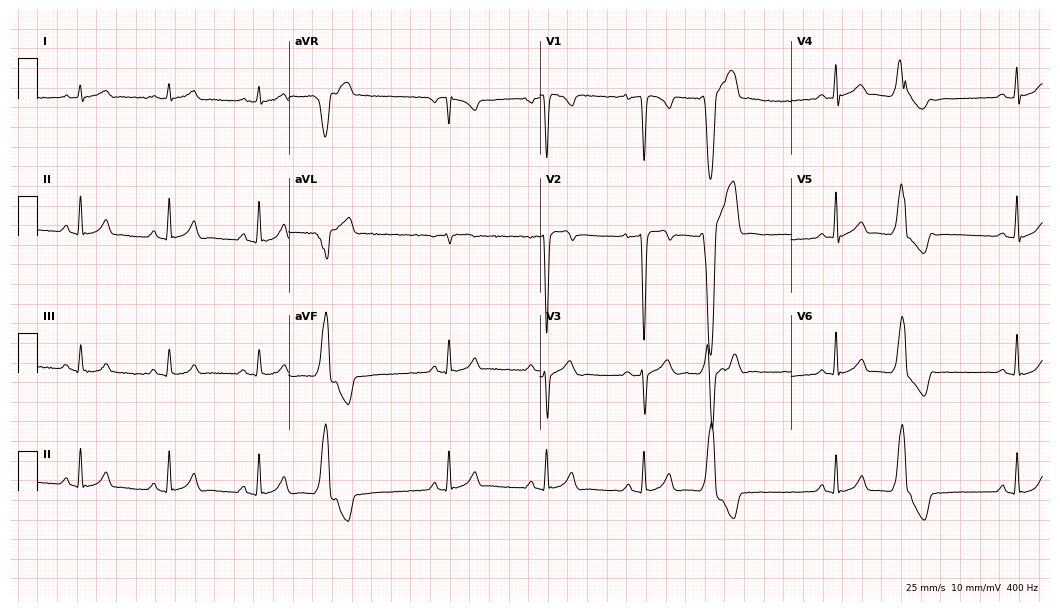
Standard 12-lead ECG recorded from a 27-year-old male patient (10.2-second recording at 400 Hz). None of these six findings is recorded: first-degree AV block, right bundle branch block (RBBB), left bundle branch block (LBBB), sinus bradycardia, atrial fibrillation (AF), sinus tachycardia.